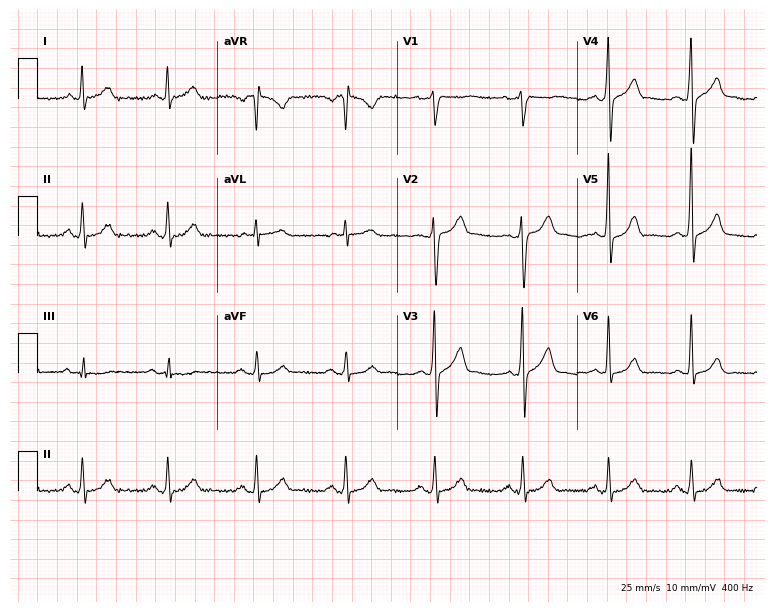
Standard 12-lead ECG recorded from a male patient, 28 years old. None of these six findings is recorded: first-degree AV block, right bundle branch block, left bundle branch block, sinus bradycardia, atrial fibrillation, sinus tachycardia.